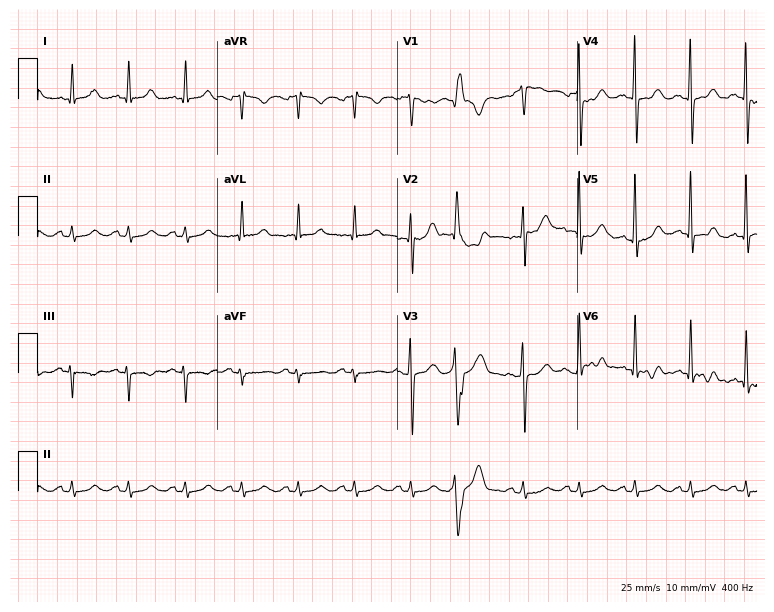
12-lead ECG from a 76-year-old male patient. Shows sinus tachycardia (a sinus rate of 100 beats per minute or more).